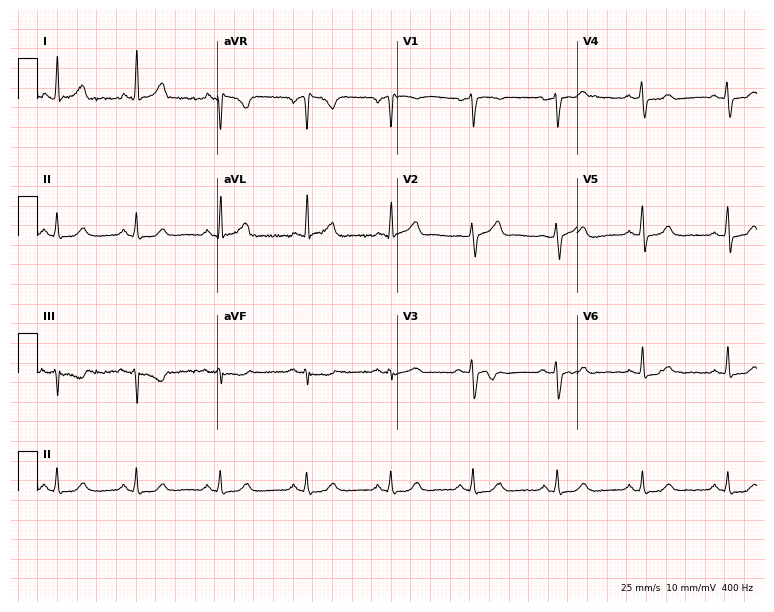
Resting 12-lead electrocardiogram (7.3-second recording at 400 Hz). Patient: a 54-year-old woman. None of these six findings is recorded: first-degree AV block, right bundle branch block, left bundle branch block, sinus bradycardia, atrial fibrillation, sinus tachycardia.